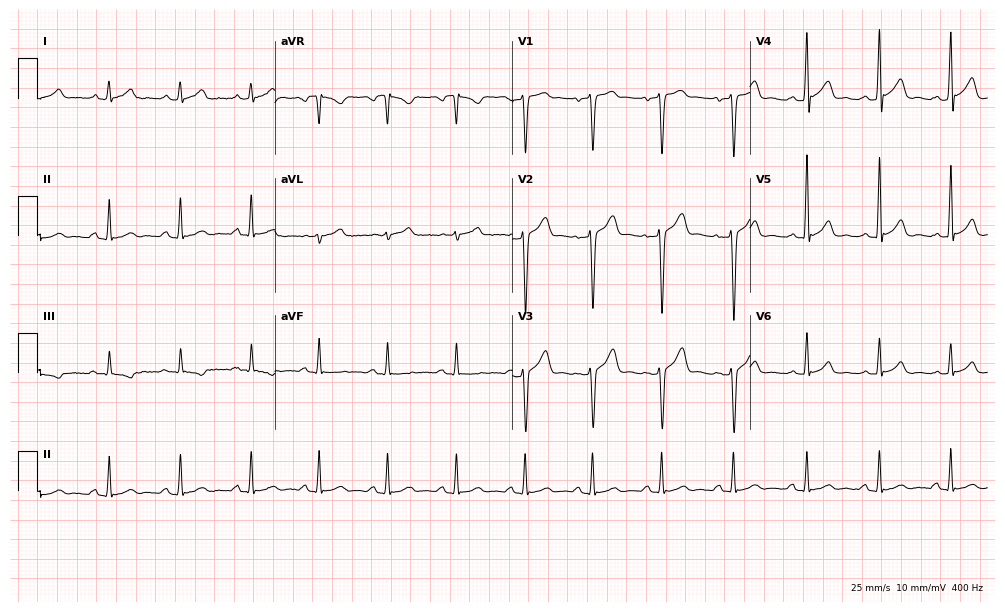
ECG (9.7-second recording at 400 Hz) — a 34-year-old male. Labelled as a normal ECG.